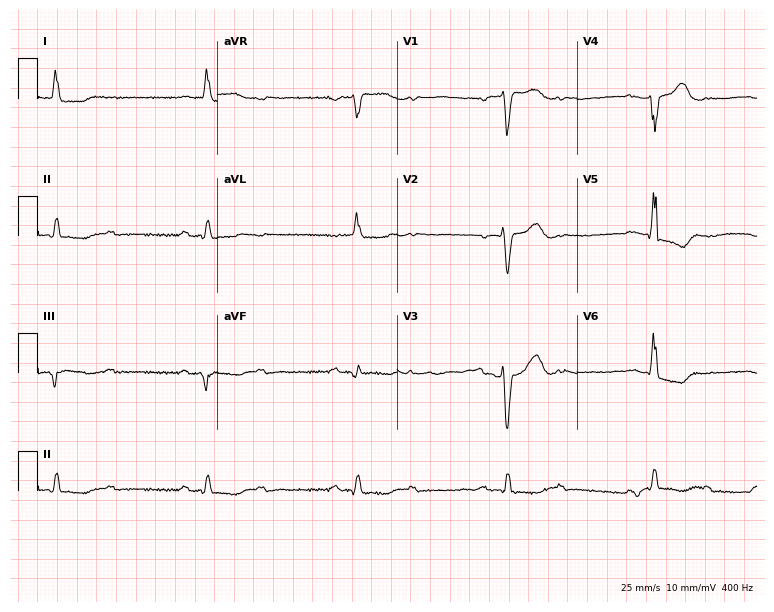
12-lead ECG from a female, 80 years old. Findings include left bundle branch block, sinus bradycardia (a sinus rate of 50 beats per minute or less).